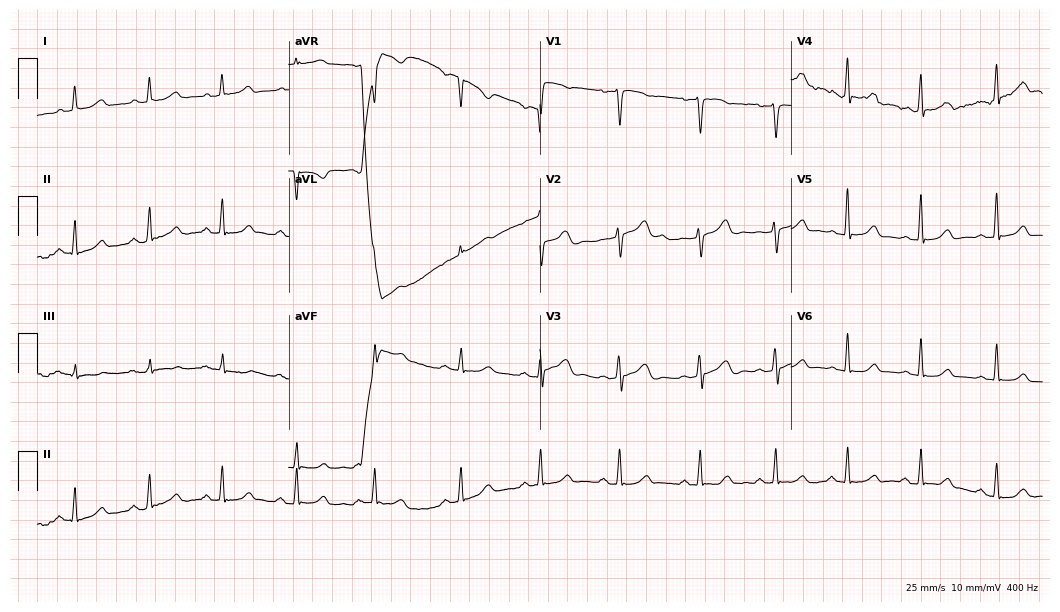
ECG — a 43-year-old female. Screened for six findings — first-degree AV block, right bundle branch block (RBBB), left bundle branch block (LBBB), sinus bradycardia, atrial fibrillation (AF), sinus tachycardia — none is recorded. Findings outside these six are not listed.